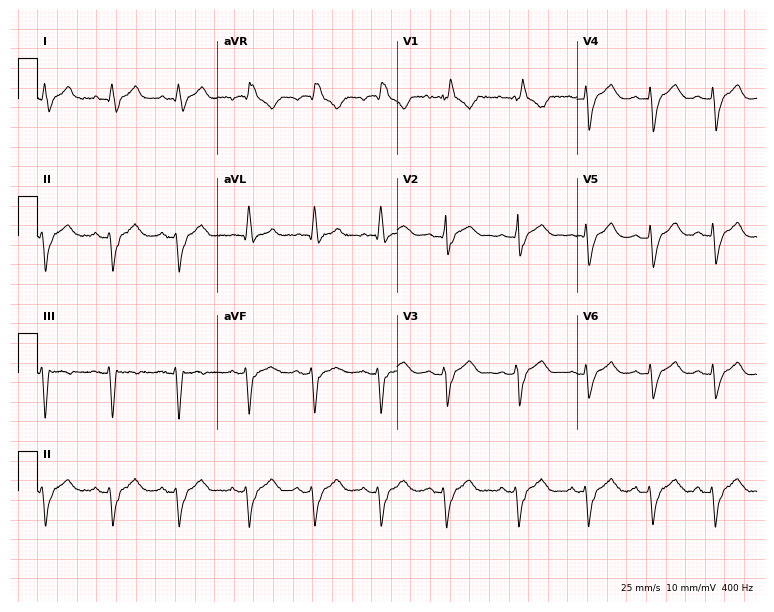
12-lead ECG from a 30-year-old woman (7.3-second recording at 400 Hz). Shows right bundle branch block (RBBB).